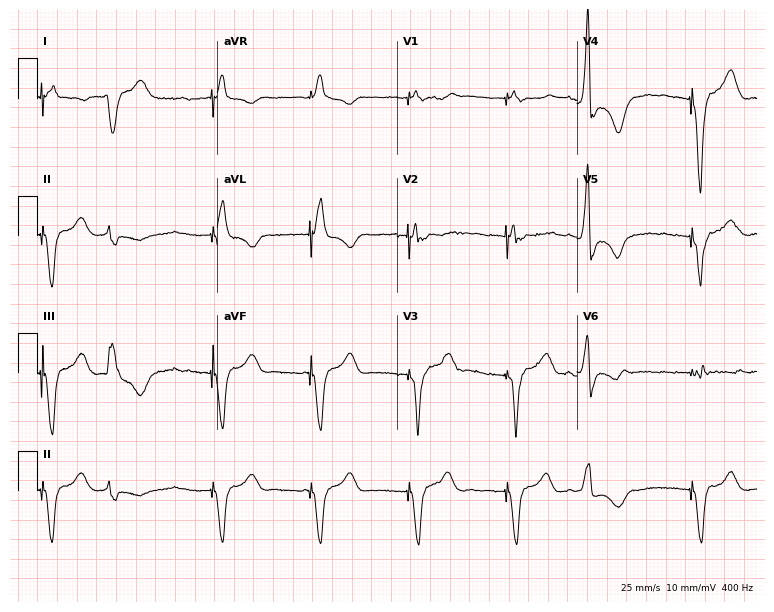
Electrocardiogram, a man, 58 years old. Of the six screened findings (first-degree AV block, right bundle branch block (RBBB), left bundle branch block (LBBB), sinus bradycardia, atrial fibrillation (AF), sinus tachycardia), none is recorded. Other findings, if any, are not listed.